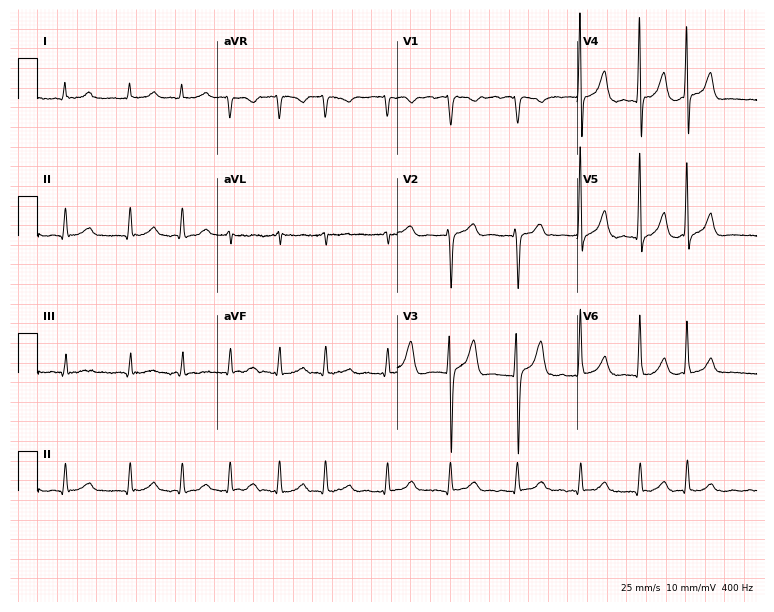
12-lead ECG from an 81-year-old male patient. Shows atrial fibrillation (AF).